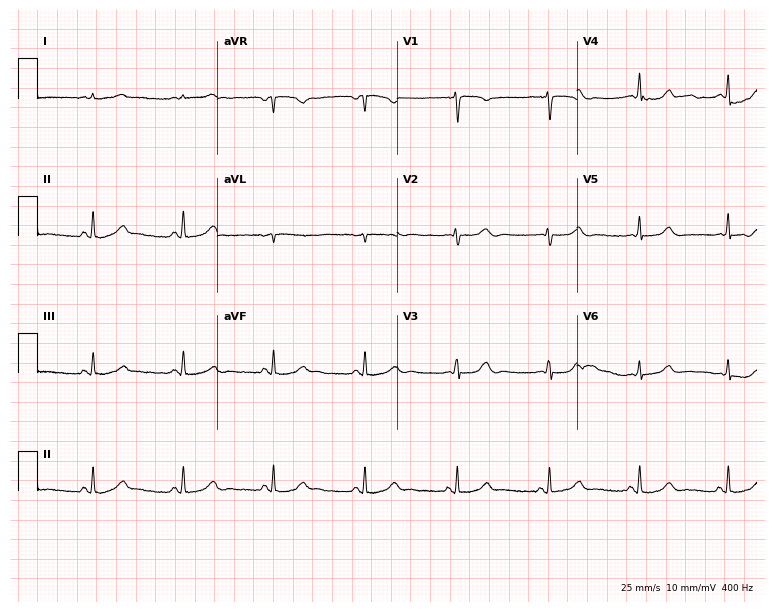
Standard 12-lead ECG recorded from a female, 46 years old. Read as a normal ECG.